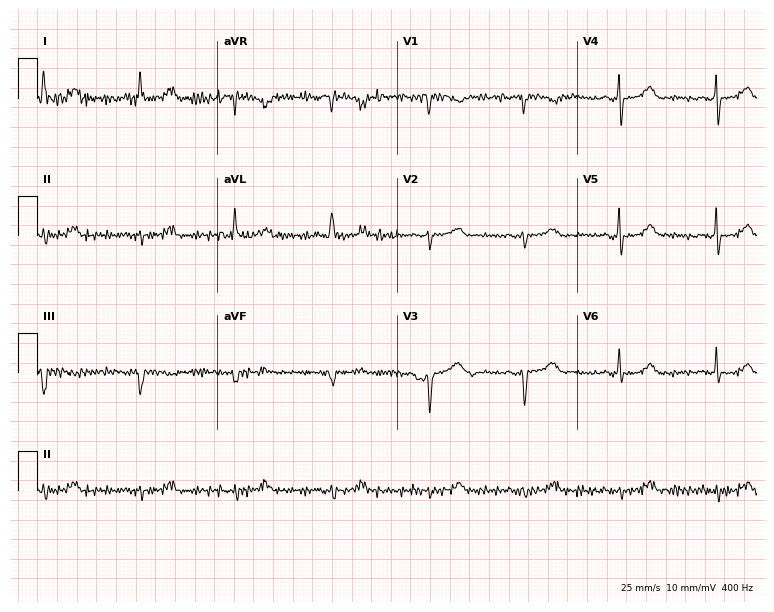
ECG (7.3-second recording at 400 Hz) — an 83-year-old man. Screened for six findings — first-degree AV block, right bundle branch block (RBBB), left bundle branch block (LBBB), sinus bradycardia, atrial fibrillation (AF), sinus tachycardia — none is recorded.